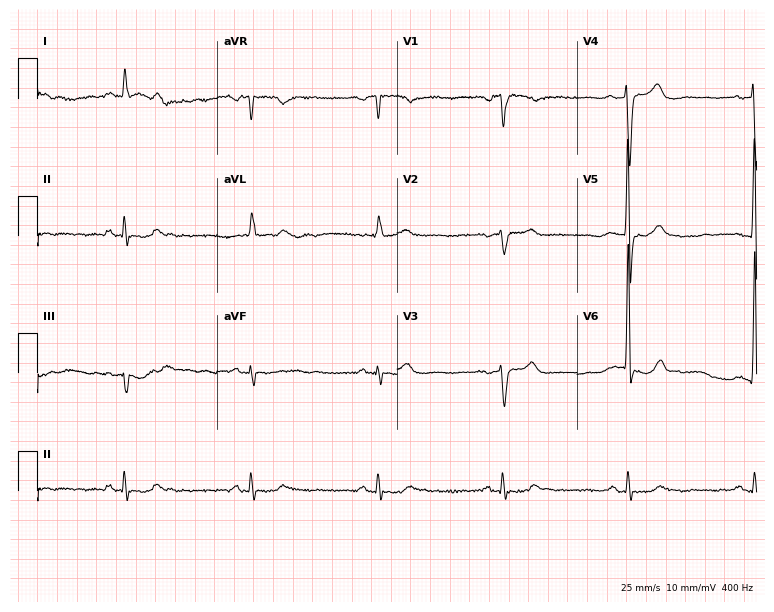
Electrocardiogram (7.3-second recording at 400 Hz), a male, 77 years old. Interpretation includes sinus bradycardia (a sinus rate of 50 beats per minute or less).